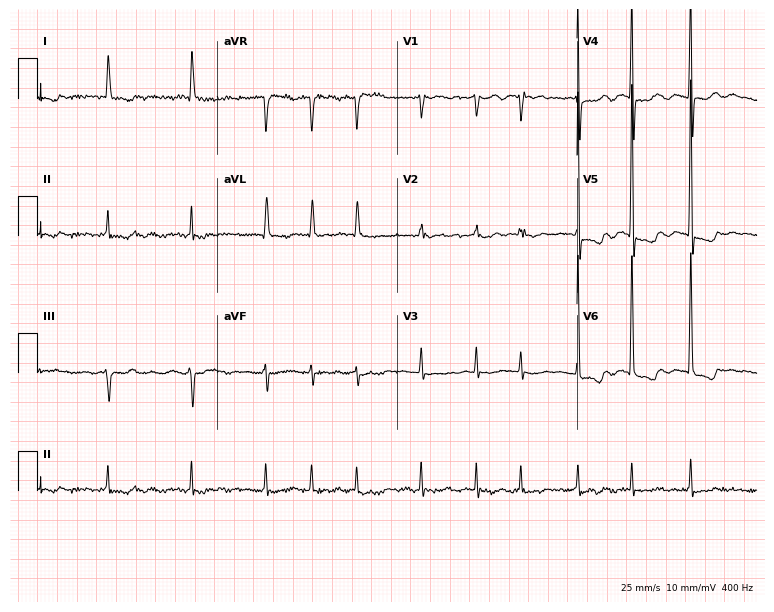
12-lead ECG from a female patient, 78 years old. Shows atrial fibrillation.